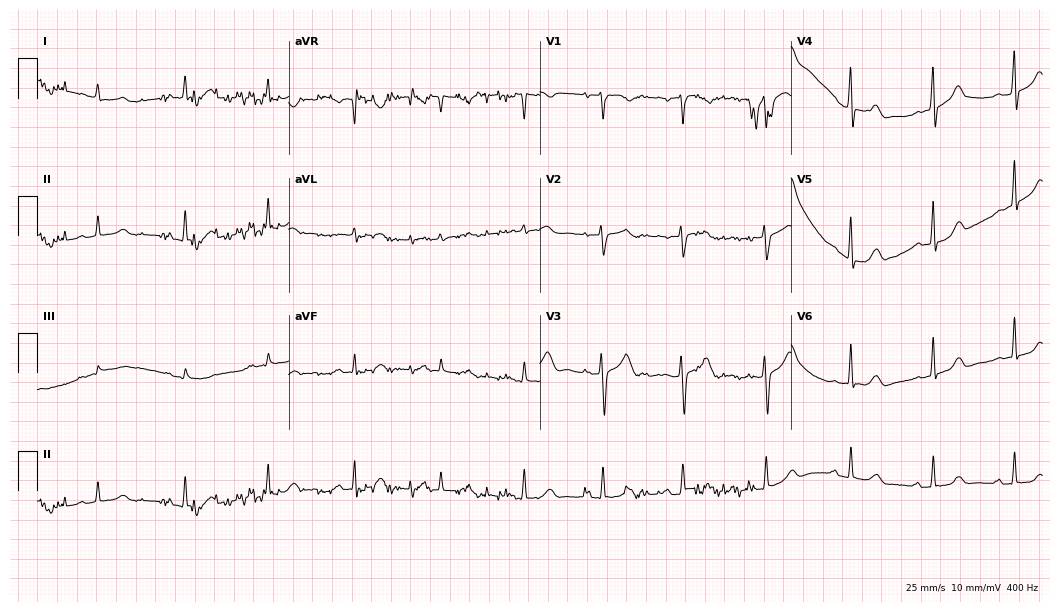
Standard 12-lead ECG recorded from a 33-year-old female (10.2-second recording at 400 Hz). Read as a normal ECG.